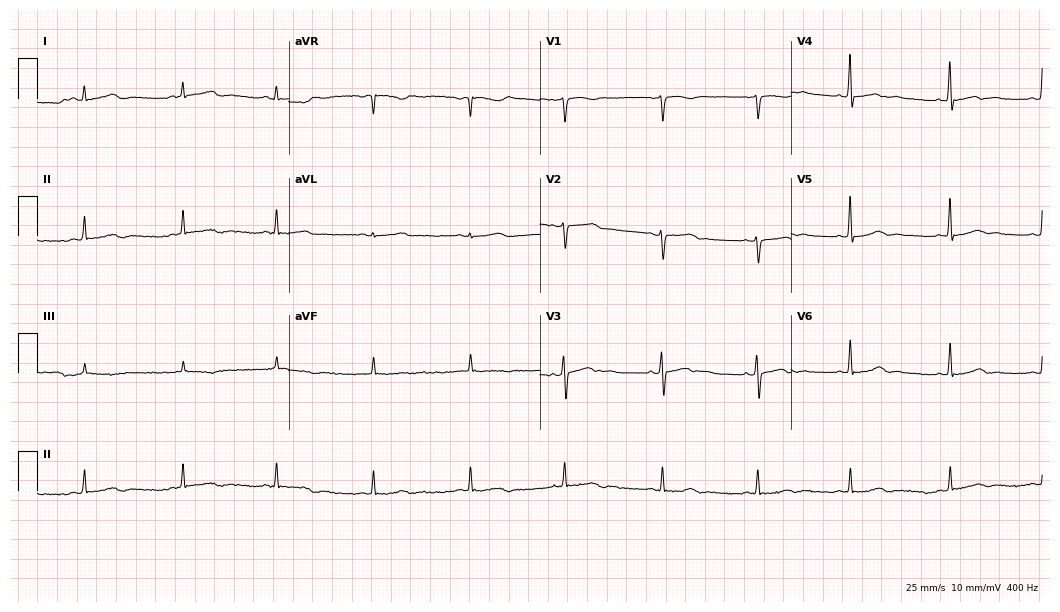
12-lead ECG from a 32-year-old woman (10.2-second recording at 400 Hz). No first-degree AV block, right bundle branch block, left bundle branch block, sinus bradycardia, atrial fibrillation or sinus tachycardia recorded for this tracing.